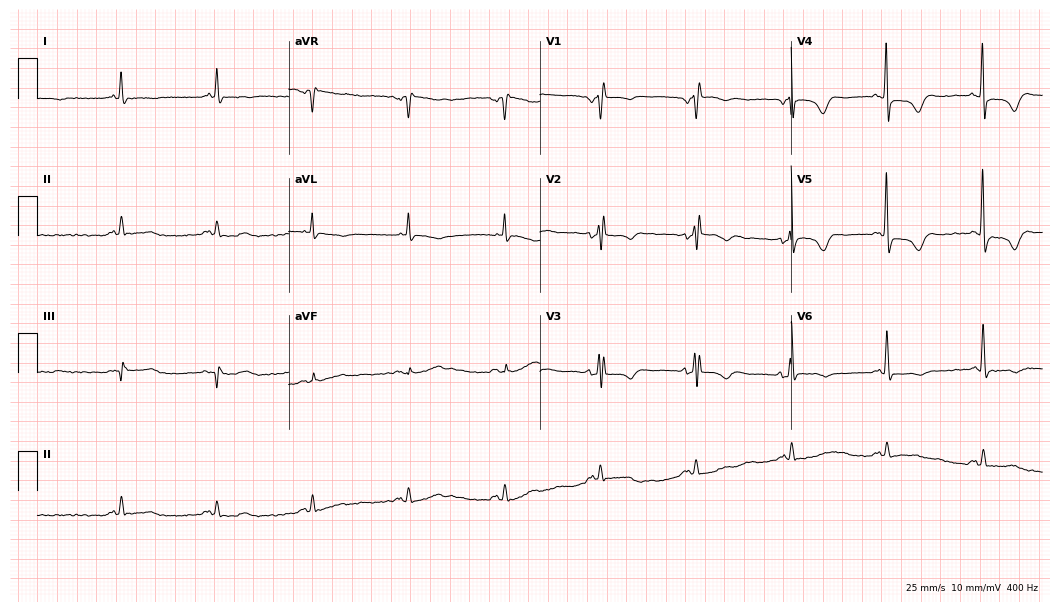
Standard 12-lead ECG recorded from a man, 81 years old. None of these six findings is recorded: first-degree AV block, right bundle branch block, left bundle branch block, sinus bradycardia, atrial fibrillation, sinus tachycardia. Findings outside these six are not listed.